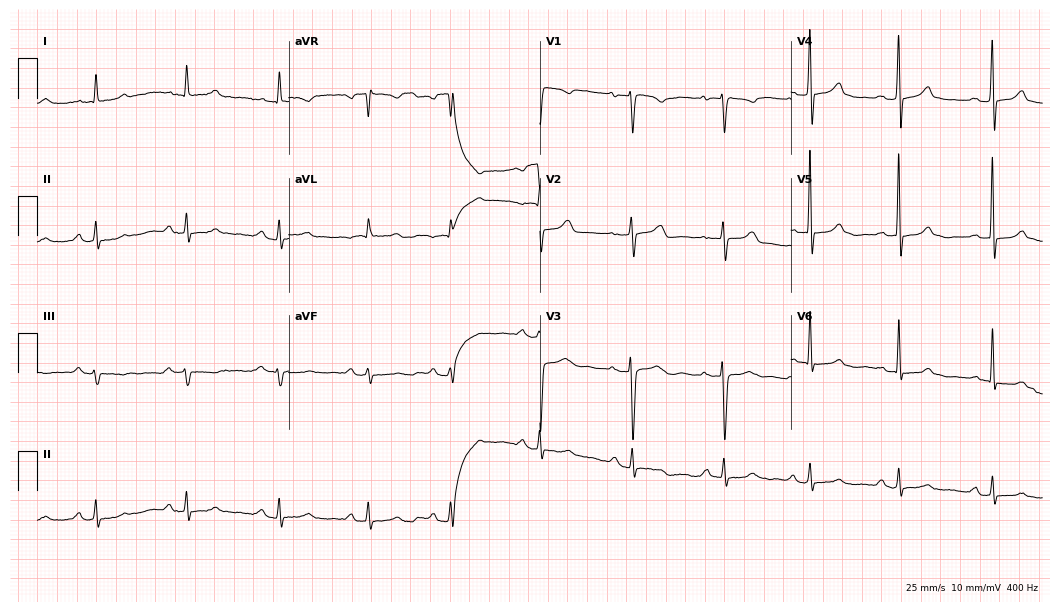
ECG (10.2-second recording at 400 Hz) — a 45-year-old female. Screened for six findings — first-degree AV block, right bundle branch block, left bundle branch block, sinus bradycardia, atrial fibrillation, sinus tachycardia — none is recorded. Findings outside these six are not listed.